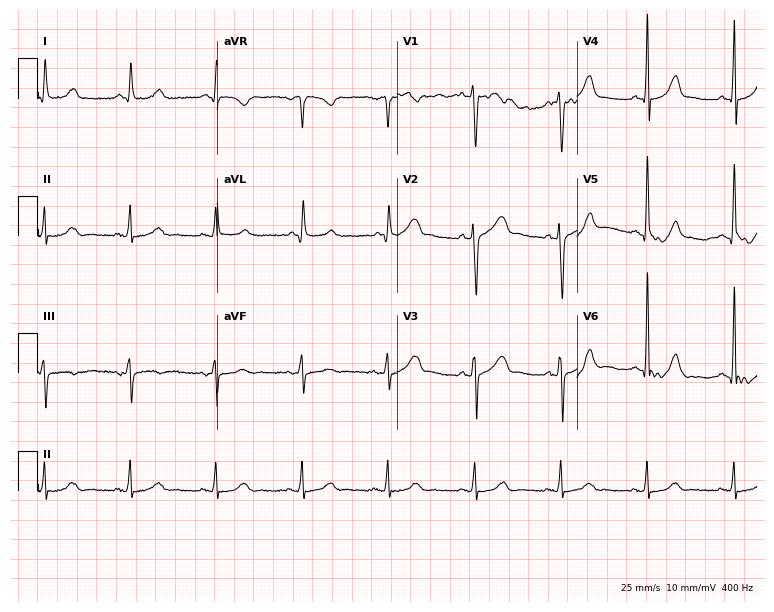
Standard 12-lead ECG recorded from a male patient, 72 years old (7.3-second recording at 400 Hz). Read as a normal ECG.